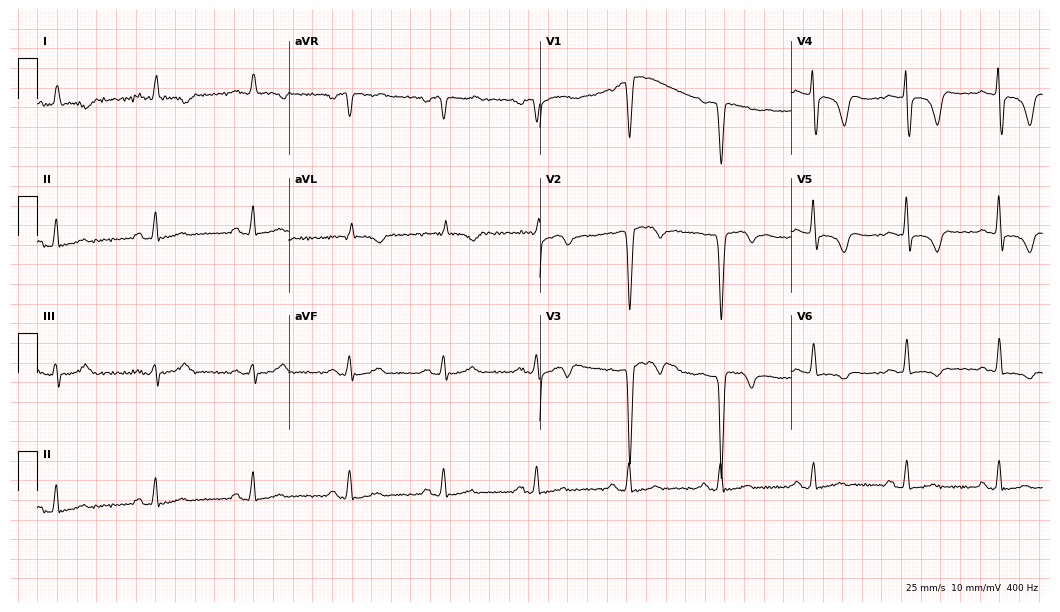
Resting 12-lead electrocardiogram. Patient: a man, 57 years old. None of these six findings is recorded: first-degree AV block, right bundle branch block, left bundle branch block, sinus bradycardia, atrial fibrillation, sinus tachycardia. Other findings, if any, are not listed.